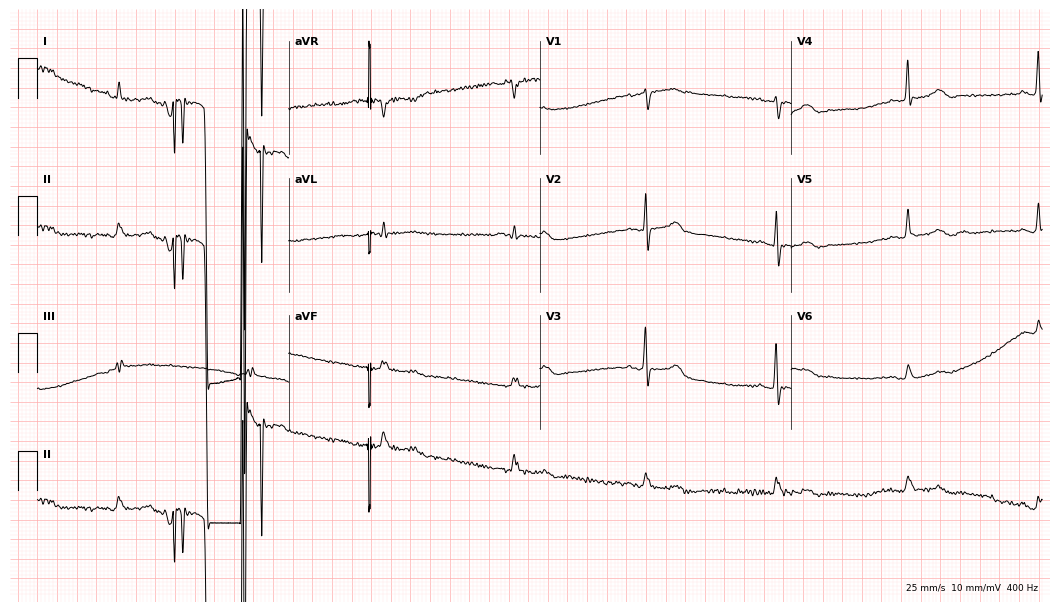
Standard 12-lead ECG recorded from an 80-year-old male (10.2-second recording at 400 Hz). None of these six findings is recorded: first-degree AV block, right bundle branch block, left bundle branch block, sinus bradycardia, atrial fibrillation, sinus tachycardia.